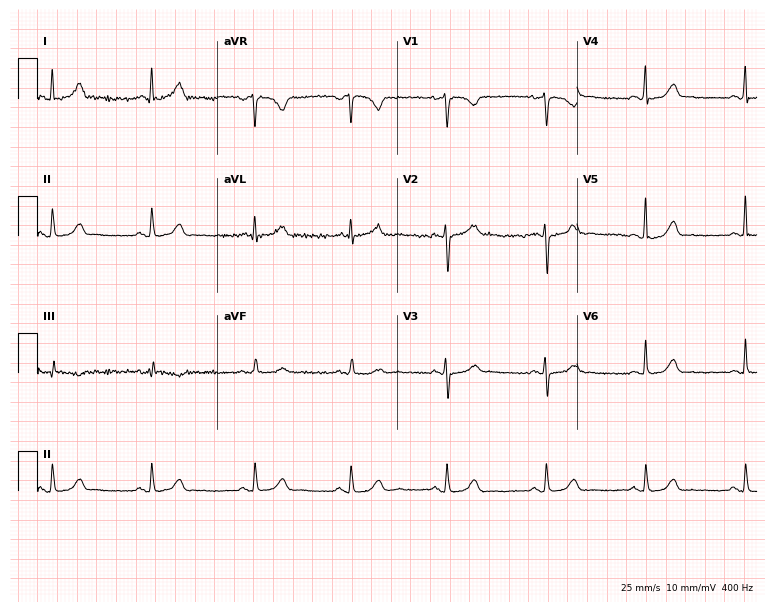
12-lead ECG from a woman, 35 years old. Screened for six findings — first-degree AV block, right bundle branch block, left bundle branch block, sinus bradycardia, atrial fibrillation, sinus tachycardia — none is recorded.